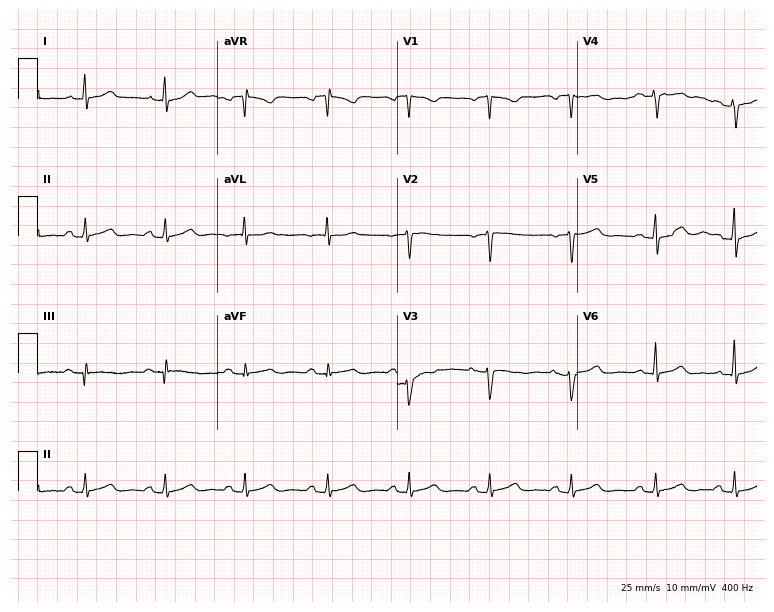
Standard 12-lead ECG recorded from a 46-year-old female patient. None of these six findings is recorded: first-degree AV block, right bundle branch block (RBBB), left bundle branch block (LBBB), sinus bradycardia, atrial fibrillation (AF), sinus tachycardia.